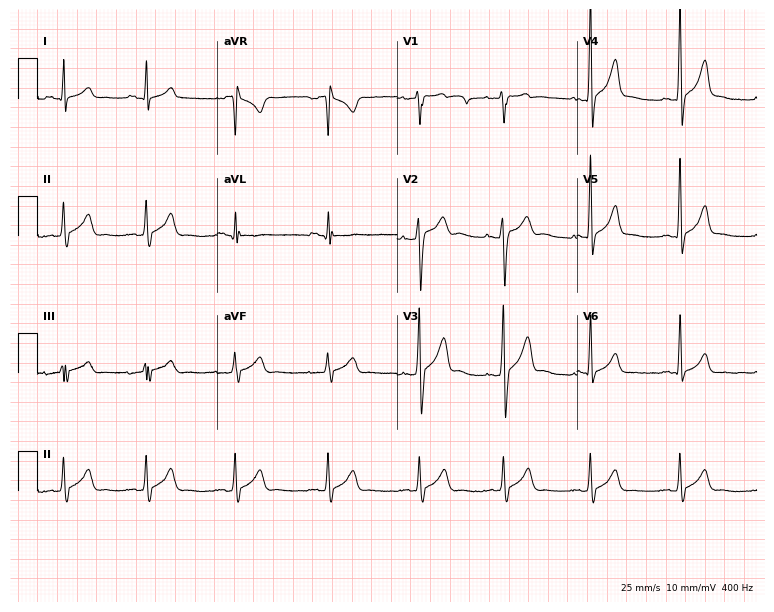
ECG — a 19-year-old man. Labelled as a normal ECG.